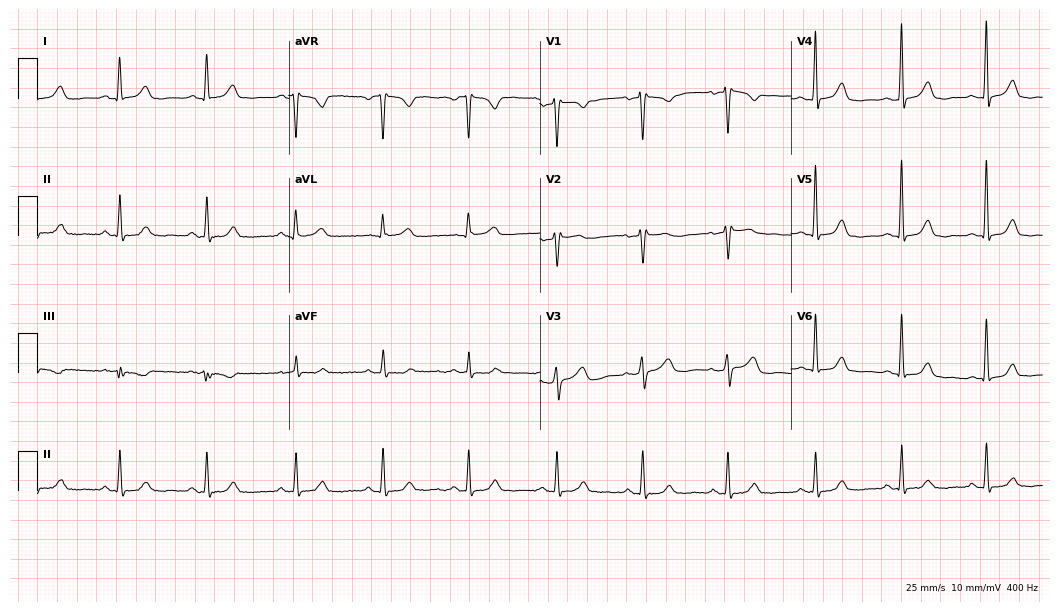
Resting 12-lead electrocardiogram. Patient: a 42-year-old female. Read as a normal ECG.